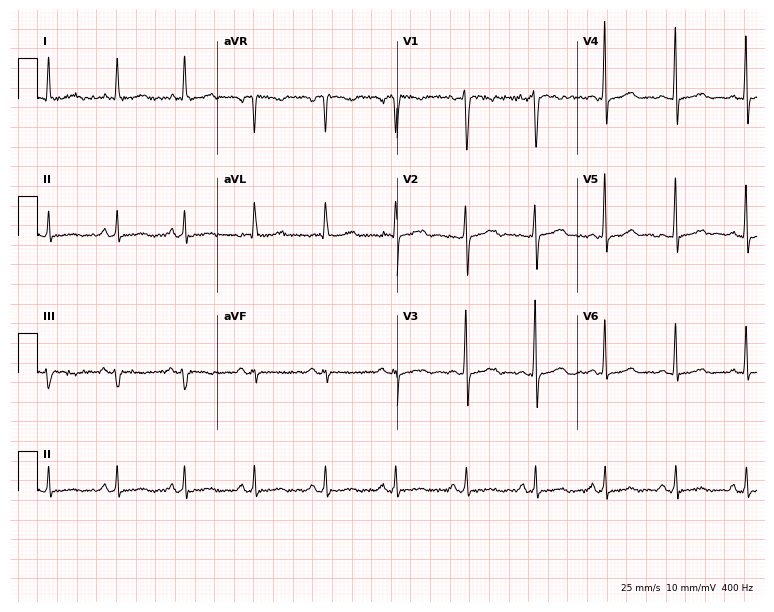
Electrocardiogram (7.3-second recording at 400 Hz), a female patient, 33 years old. Of the six screened findings (first-degree AV block, right bundle branch block (RBBB), left bundle branch block (LBBB), sinus bradycardia, atrial fibrillation (AF), sinus tachycardia), none is recorded. Only these six findings were labelled.